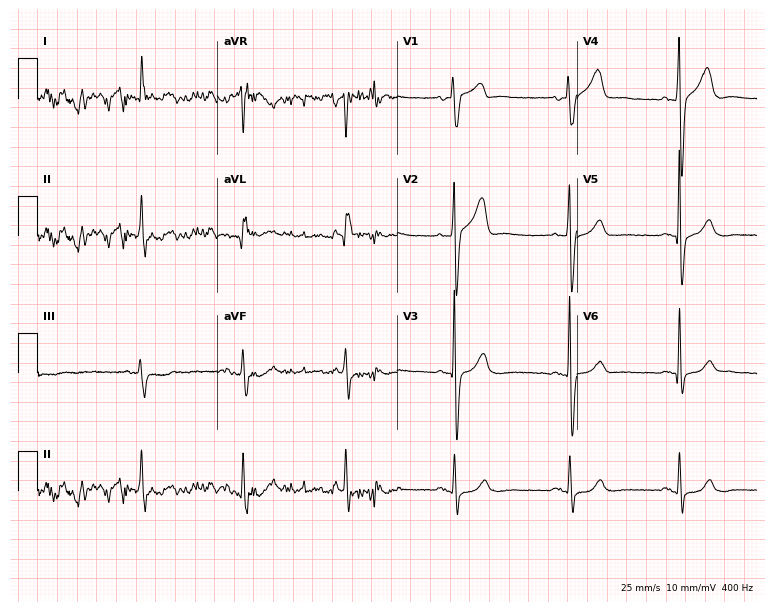
12-lead ECG from a male patient, 53 years old. No first-degree AV block, right bundle branch block (RBBB), left bundle branch block (LBBB), sinus bradycardia, atrial fibrillation (AF) or sinus tachycardia recorded for this tracing.